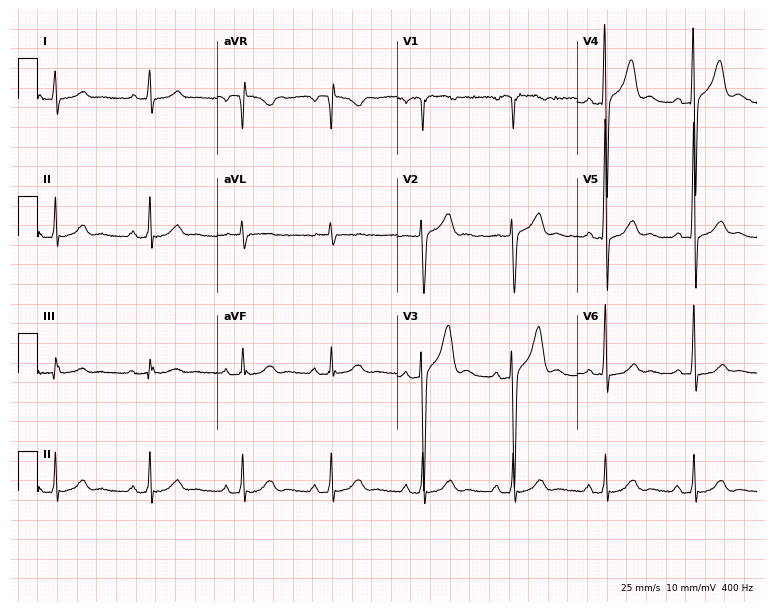
Resting 12-lead electrocardiogram. Patient: a 54-year-old man. None of these six findings is recorded: first-degree AV block, right bundle branch block, left bundle branch block, sinus bradycardia, atrial fibrillation, sinus tachycardia. Findings outside these six are not listed.